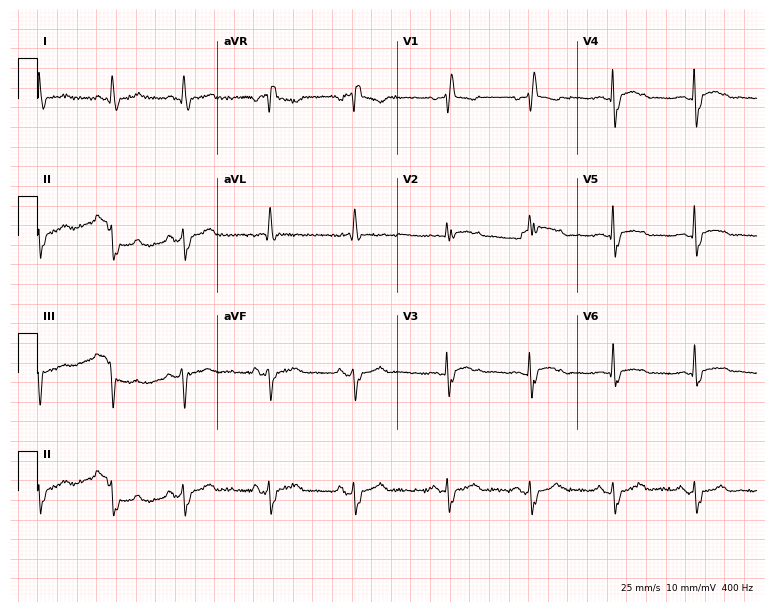
ECG (7.3-second recording at 400 Hz) — a woman, 84 years old. Findings include right bundle branch block (RBBB).